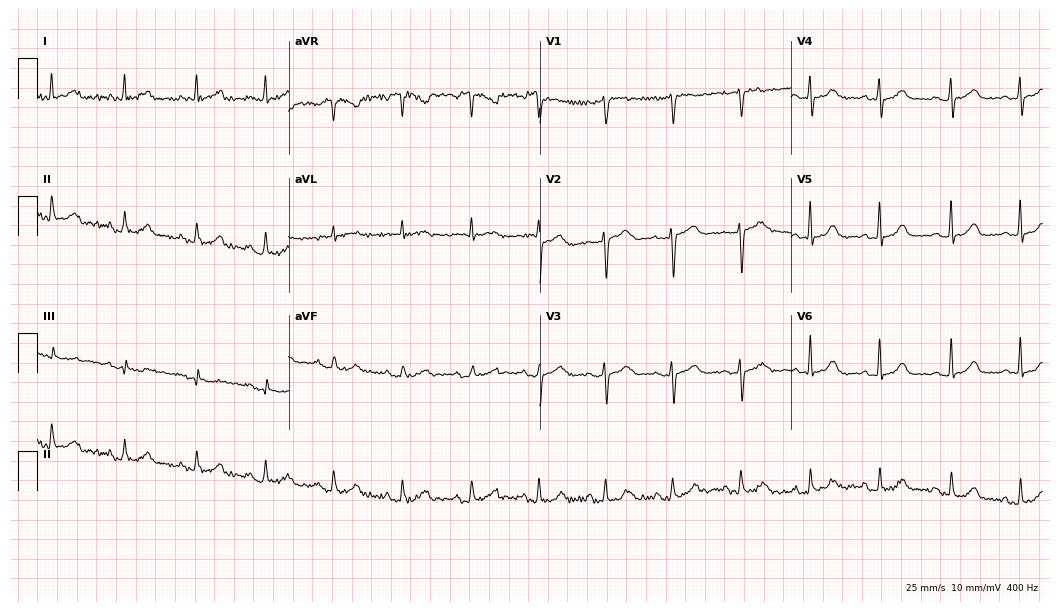
ECG — a female patient, 68 years old. Labelled as a normal ECG.